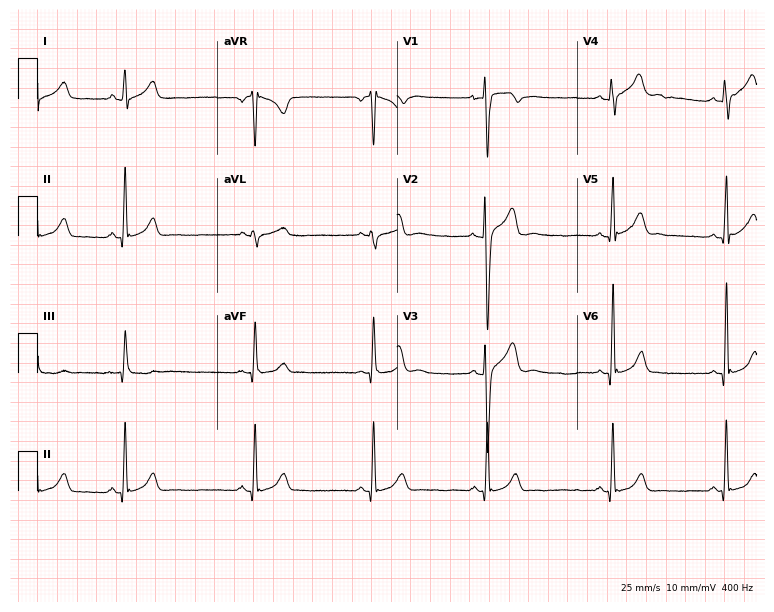
ECG (7.3-second recording at 400 Hz) — a 20-year-old man. Screened for six findings — first-degree AV block, right bundle branch block (RBBB), left bundle branch block (LBBB), sinus bradycardia, atrial fibrillation (AF), sinus tachycardia — none is recorded. Only these six findings were labelled.